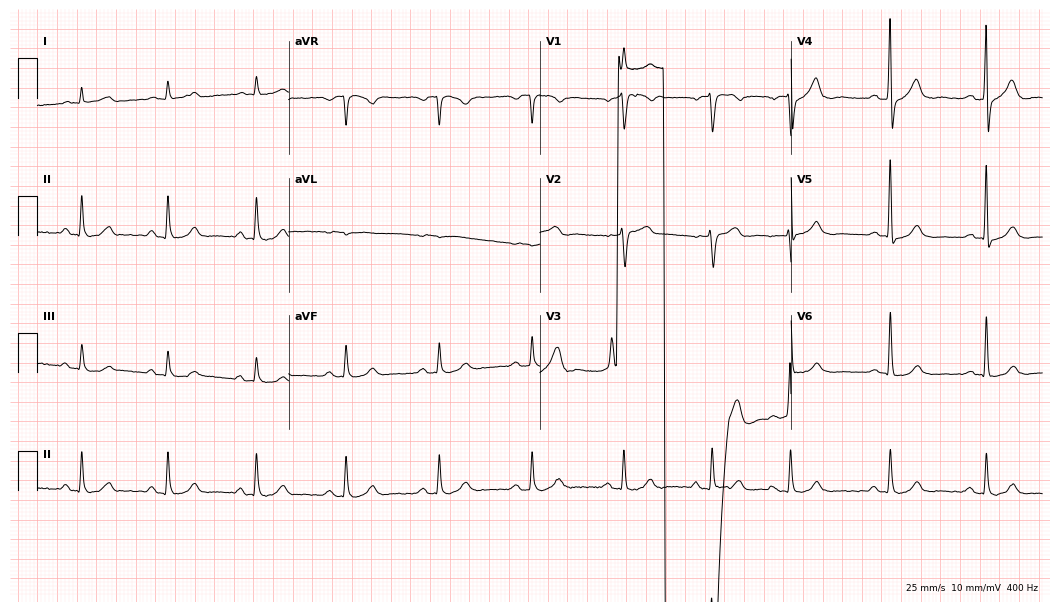
12-lead ECG (10.2-second recording at 400 Hz) from a male, 75 years old. Screened for six findings — first-degree AV block, right bundle branch block, left bundle branch block, sinus bradycardia, atrial fibrillation, sinus tachycardia — none is recorded. Only these six findings were labelled.